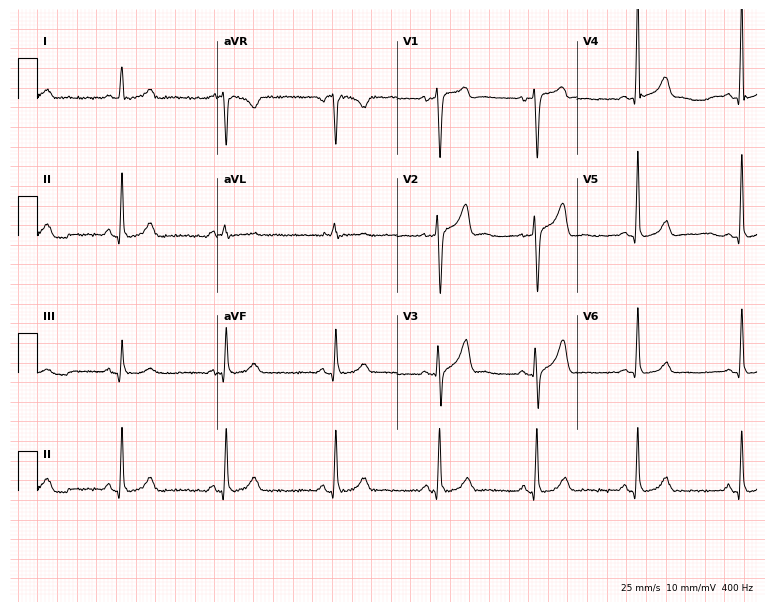
12-lead ECG from a 36-year-old male. Recorded interpretation: within normal limits.